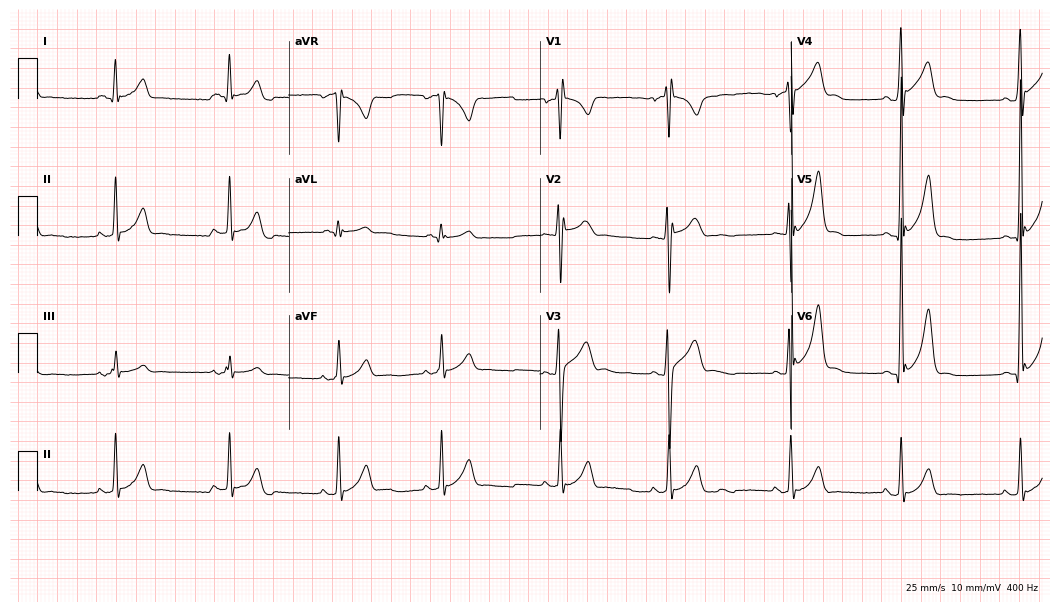
Electrocardiogram, a male, 20 years old. Of the six screened findings (first-degree AV block, right bundle branch block, left bundle branch block, sinus bradycardia, atrial fibrillation, sinus tachycardia), none is recorded.